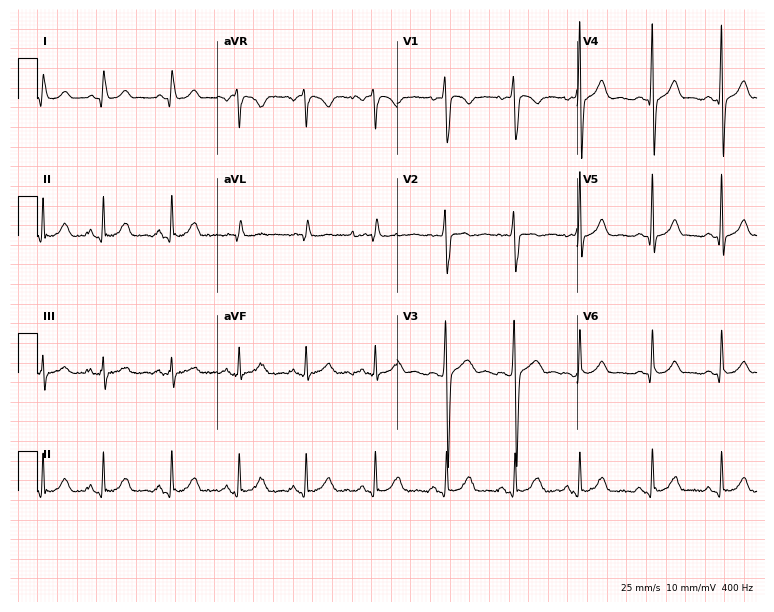
12-lead ECG (7.3-second recording at 400 Hz) from a male patient, 20 years old. Labelled as a normal ECG.